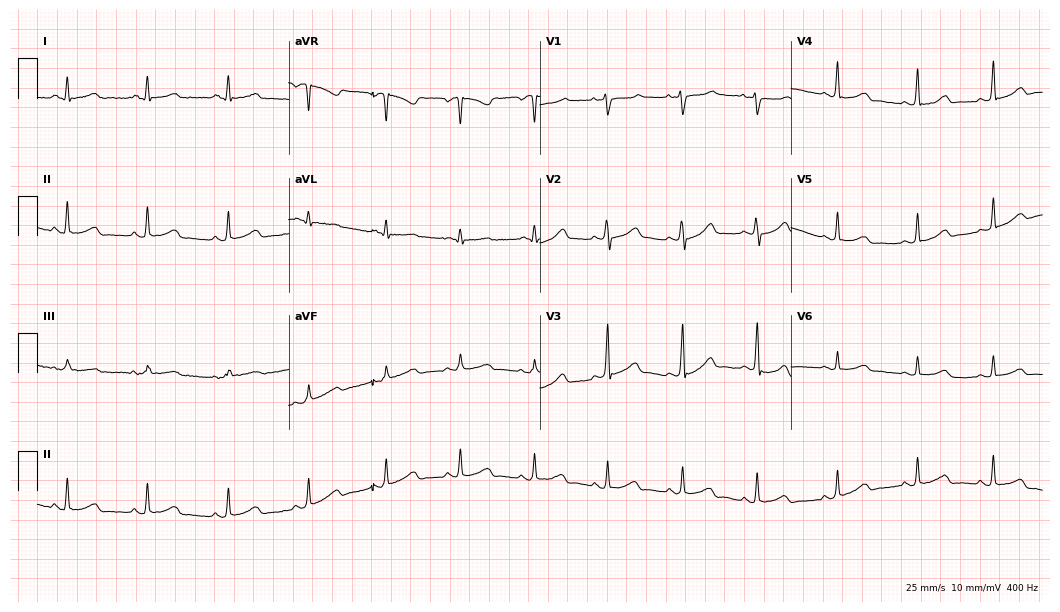
12-lead ECG from a 30-year-old woman. Screened for six findings — first-degree AV block, right bundle branch block (RBBB), left bundle branch block (LBBB), sinus bradycardia, atrial fibrillation (AF), sinus tachycardia — none is recorded.